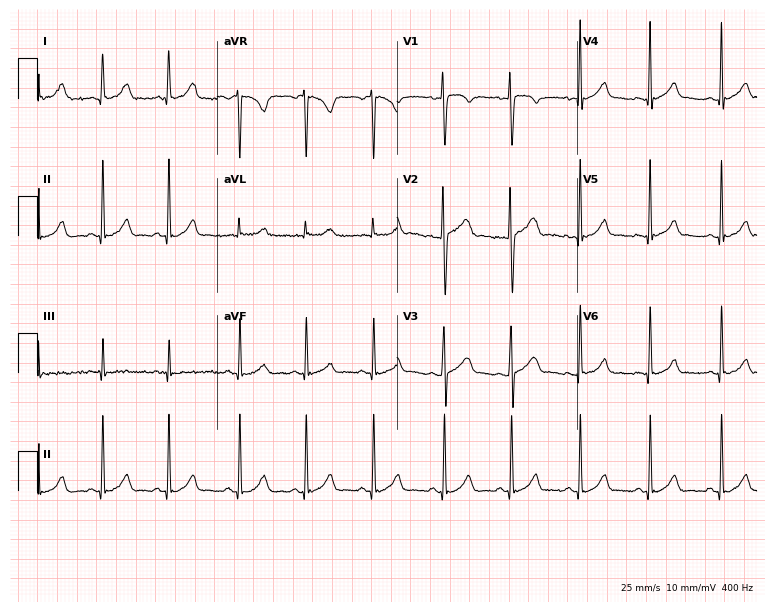
Electrocardiogram, a woman, 18 years old. Overall reading on record: normal ECG.